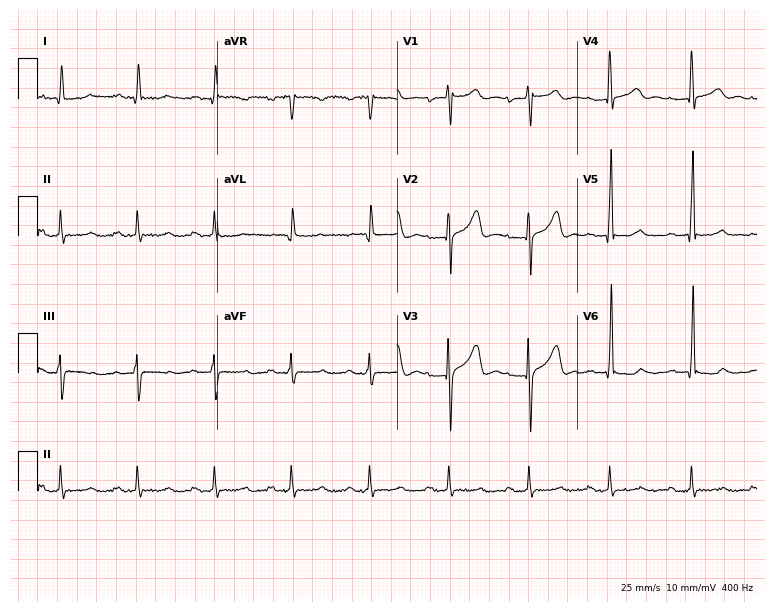
Electrocardiogram (7.3-second recording at 400 Hz), a male patient, 35 years old. Overall reading on record: normal ECG.